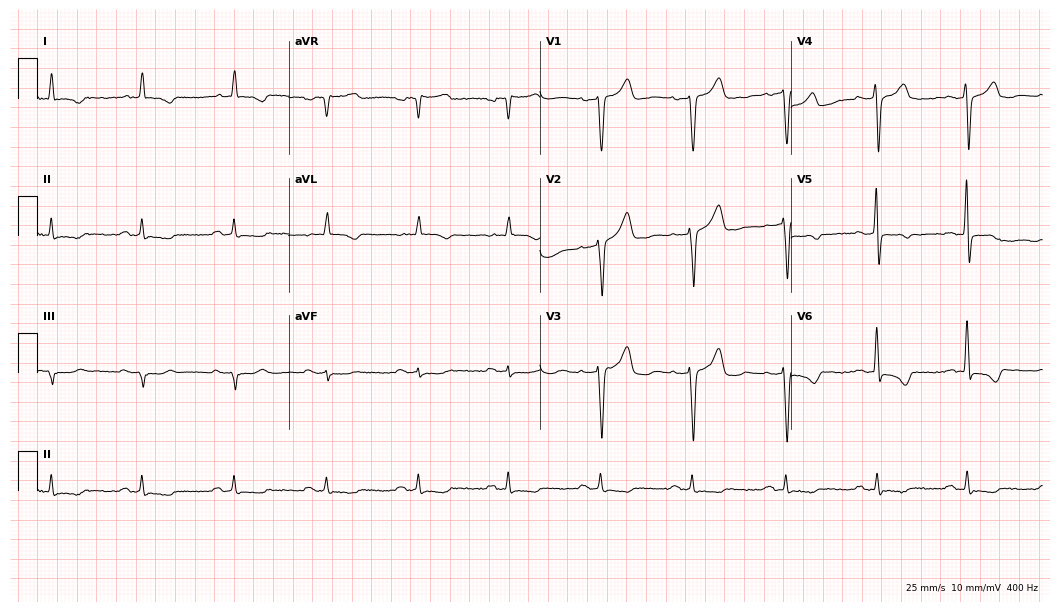
ECG (10.2-second recording at 400 Hz) — a 76-year-old man. Screened for six findings — first-degree AV block, right bundle branch block, left bundle branch block, sinus bradycardia, atrial fibrillation, sinus tachycardia — none is recorded.